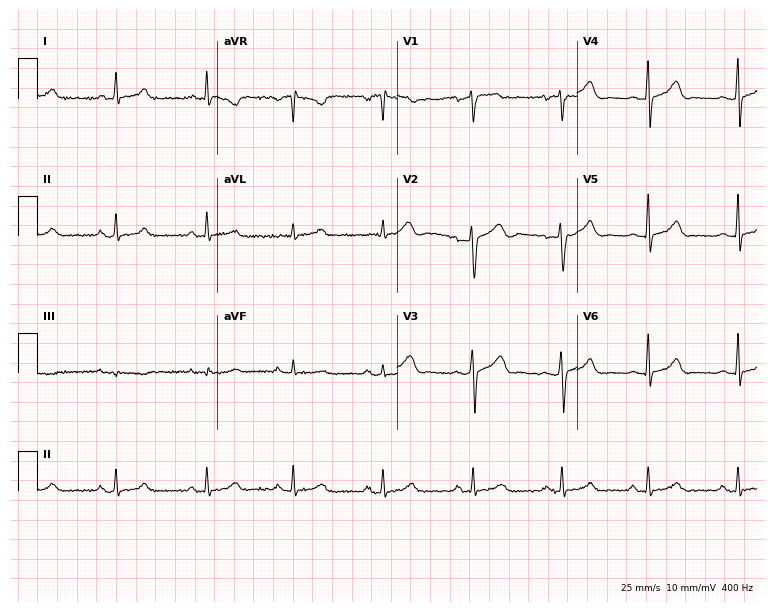
Standard 12-lead ECG recorded from a female patient, 41 years old. None of these six findings is recorded: first-degree AV block, right bundle branch block, left bundle branch block, sinus bradycardia, atrial fibrillation, sinus tachycardia.